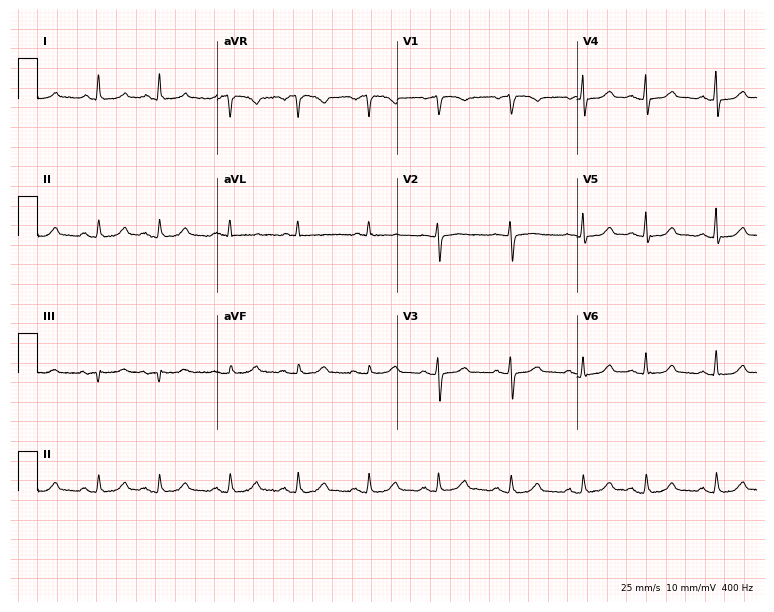
ECG (7.3-second recording at 400 Hz) — a woman, 67 years old. Labelled as a normal ECG.